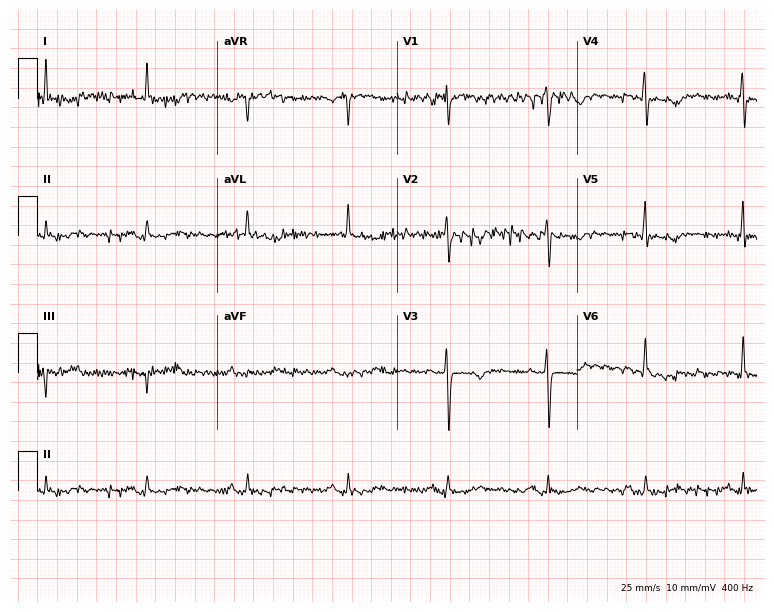
Electrocardiogram (7.3-second recording at 400 Hz), a female patient, 55 years old. Of the six screened findings (first-degree AV block, right bundle branch block (RBBB), left bundle branch block (LBBB), sinus bradycardia, atrial fibrillation (AF), sinus tachycardia), none is recorded. Findings outside these six are not listed.